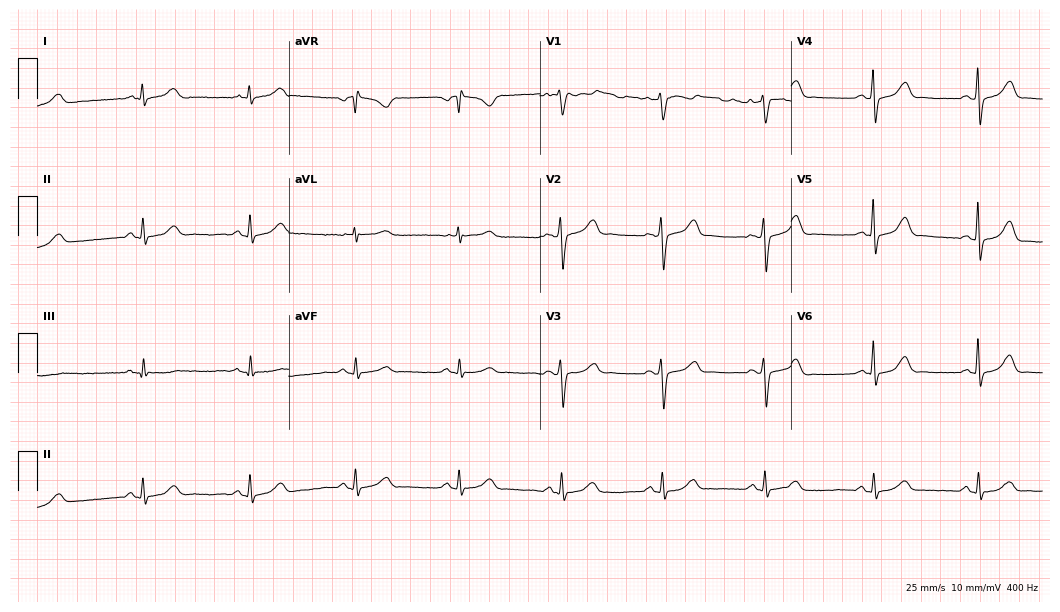
Resting 12-lead electrocardiogram (10.2-second recording at 400 Hz). Patient: a 50-year-old female. Read as a normal ECG.